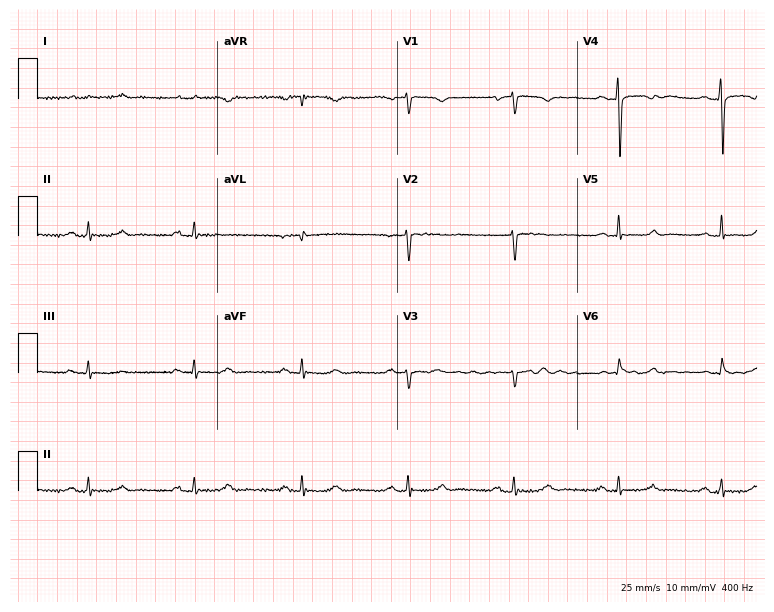
Resting 12-lead electrocardiogram (7.3-second recording at 400 Hz). Patient: a 61-year-old woman. None of these six findings is recorded: first-degree AV block, right bundle branch block, left bundle branch block, sinus bradycardia, atrial fibrillation, sinus tachycardia. Only these six findings were labelled.